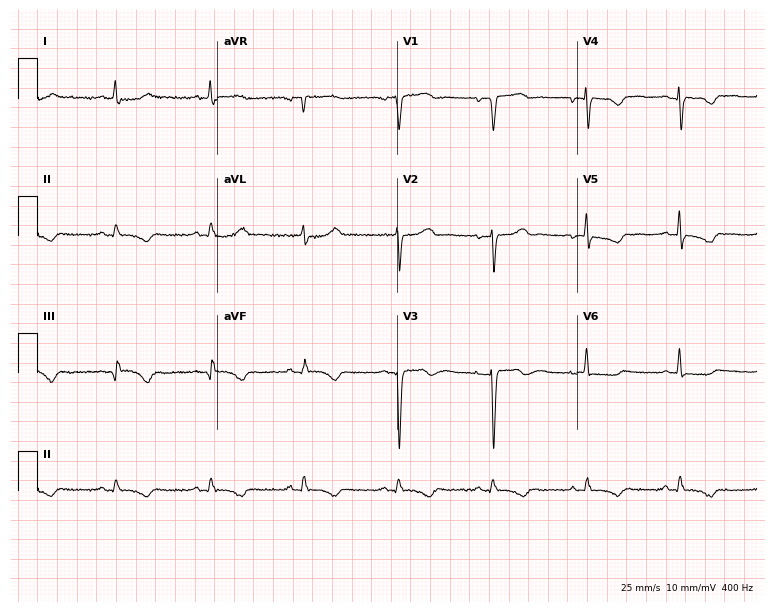
12-lead ECG from a 78-year-old woman. No first-degree AV block, right bundle branch block, left bundle branch block, sinus bradycardia, atrial fibrillation or sinus tachycardia recorded for this tracing. Other findings, if any, are not listed.